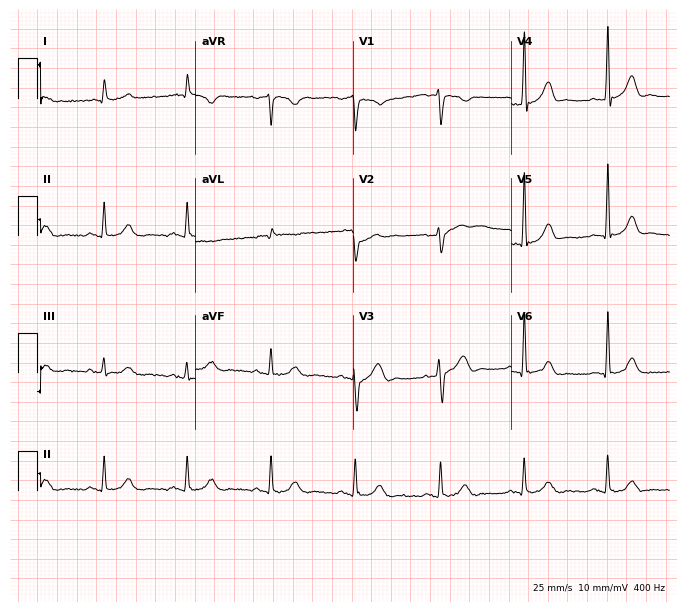
12-lead ECG from a male, 68 years old. Recorded interpretation: within normal limits.